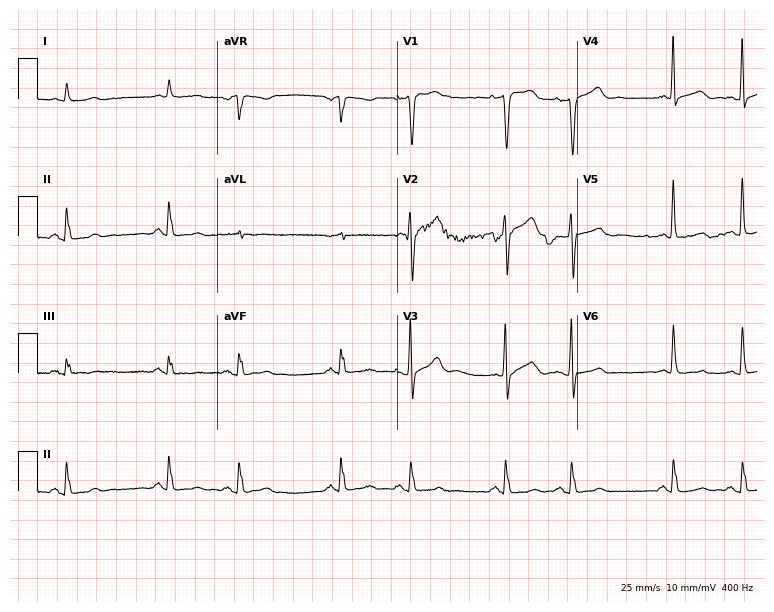
12-lead ECG from a man, 78 years old. Screened for six findings — first-degree AV block, right bundle branch block, left bundle branch block, sinus bradycardia, atrial fibrillation, sinus tachycardia — none is recorded.